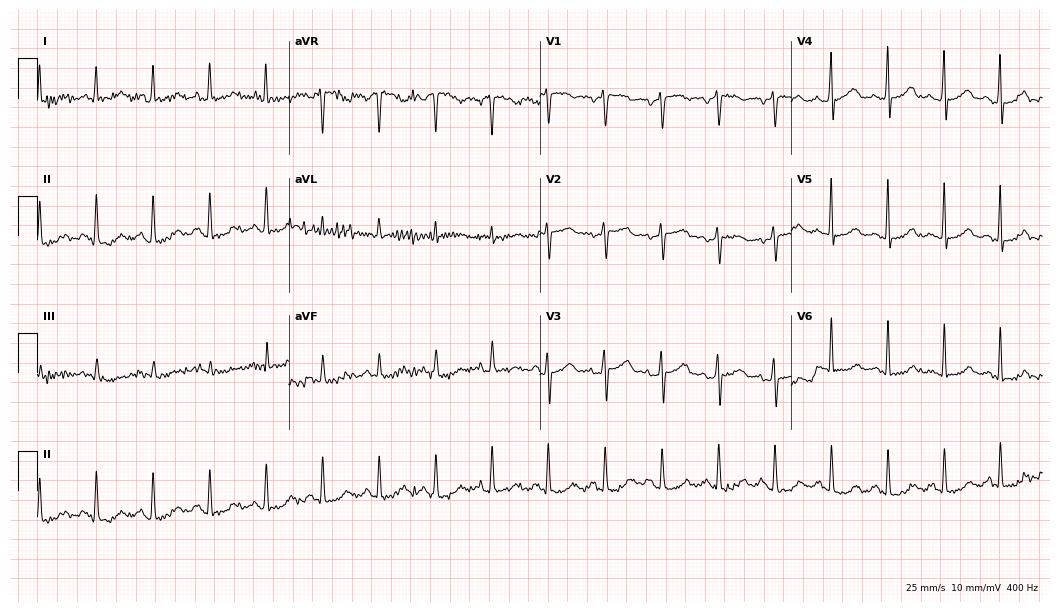
Electrocardiogram, a 79-year-old male patient. Interpretation includes sinus tachycardia (a sinus rate of 100 beats per minute or more).